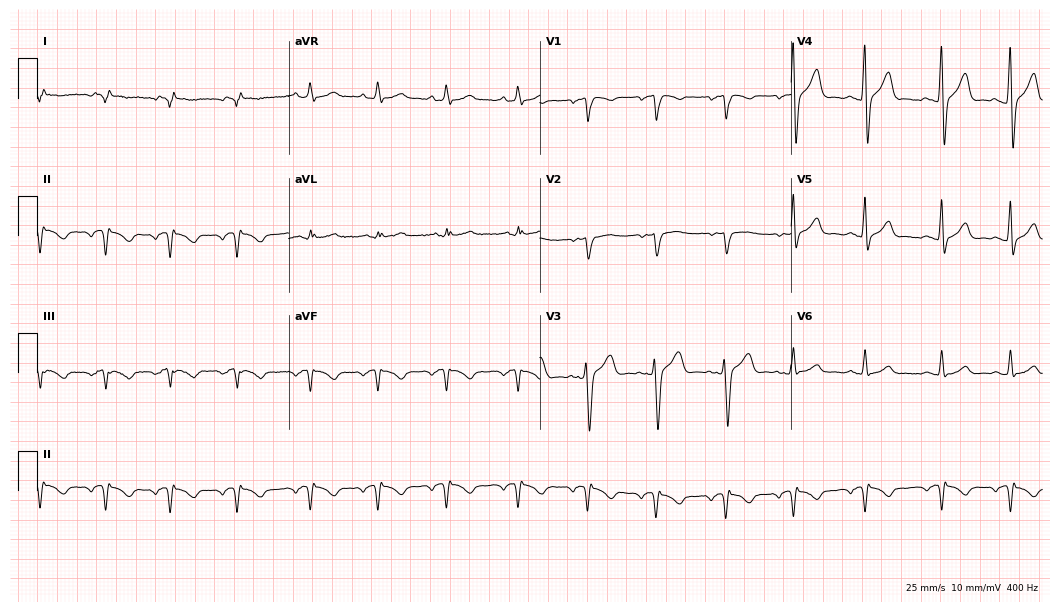
12-lead ECG from a 20-year-old woman (10.2-second recording at 400 Hz). No first-degree AV block, right bundle branch block (RBBB), left bundle branch block (LBBB), sinus bradycardia, atrial fibrillation (AF) or sinus tachycardia recorded for this tracing. Findings outside these six are not listed.